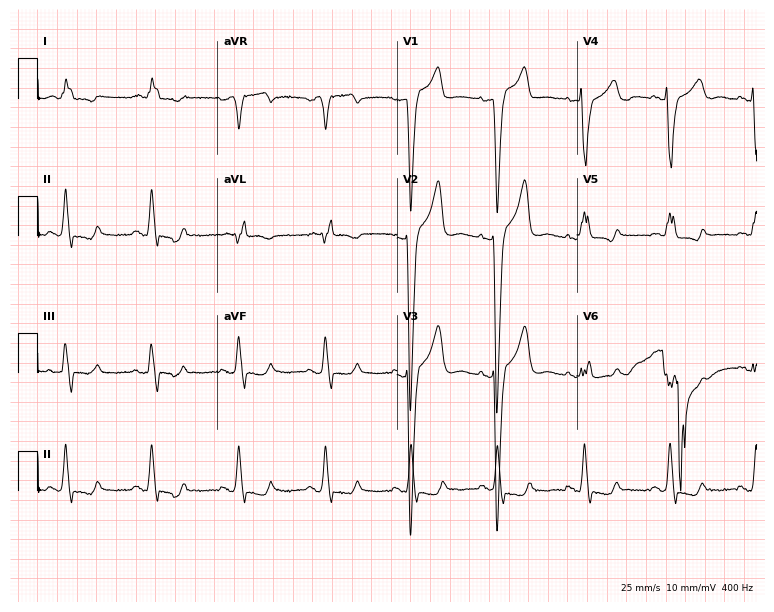
12-lead ECG from a 75-year-old woman (7.3-second recording at 400 Hz). Shows left bundle branch block.